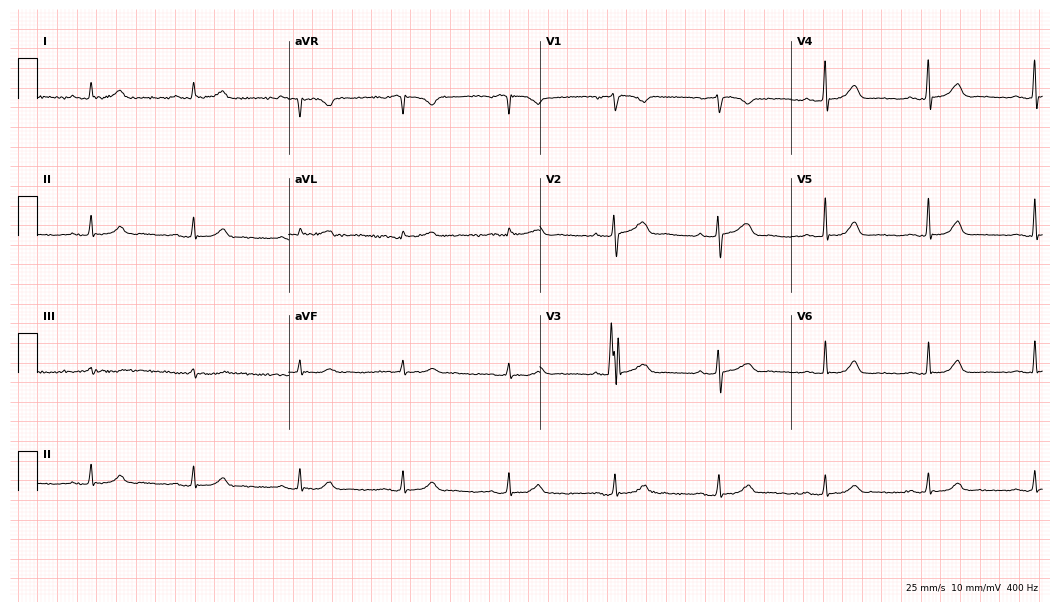
12-lead ECG from a female, 47 years old (10.2-second recording at 400 Hz). No first-degree AV block, right bundle branch block, left bundle branch block, sinus bradycardia, atrial fibrillation or sinus tachycardia recorded for this tracing.